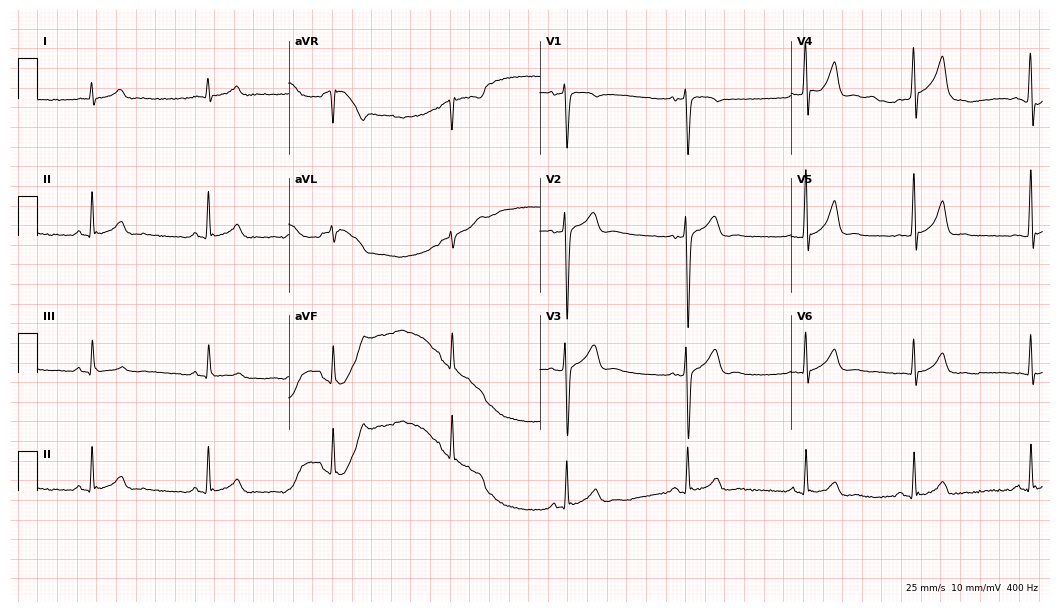
12-lead ECG from a man, 20 years old. Recorded interpretation: within normal limits.